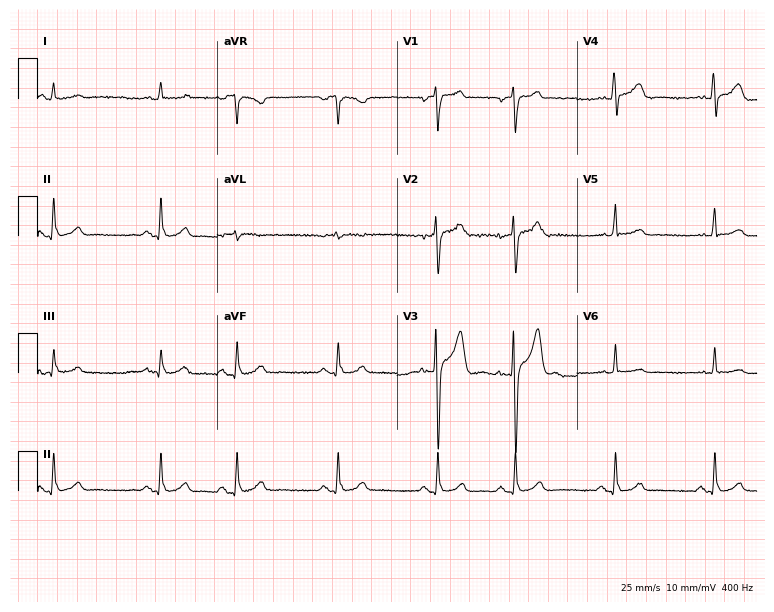
Electrocardiogram (7.3-second recording at 400 Hz), a female patient, 71 years old. Of the six screened findings (first-degree AV block, right bundle branch block, left bundle branch block, sinus bradycardia, atrial fibrillation, sinus tachycardia), none is recorded.